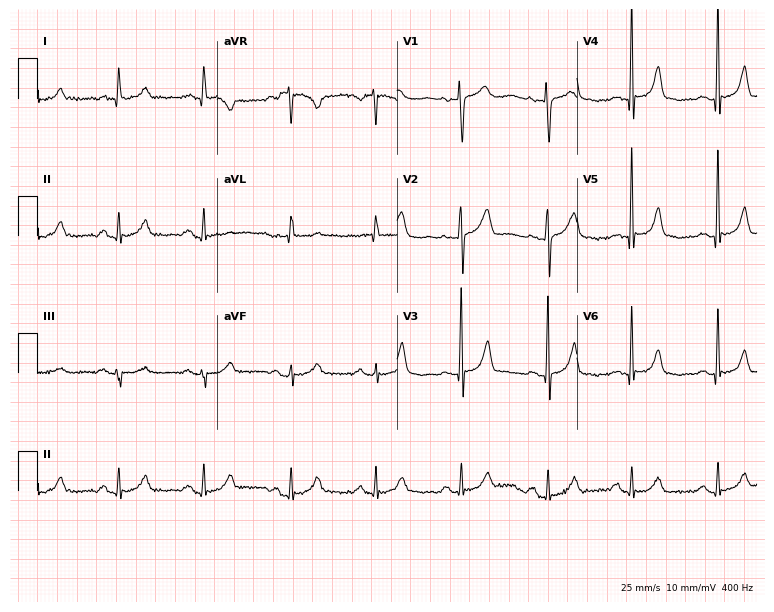
ECG — a woman, 81 years old. Screened for six findings — first-degree AV block, right bundle branch block, left bundle branch block, sinus bradycardia, atrial fibrillation, sinus tachycardia — none is recorded.